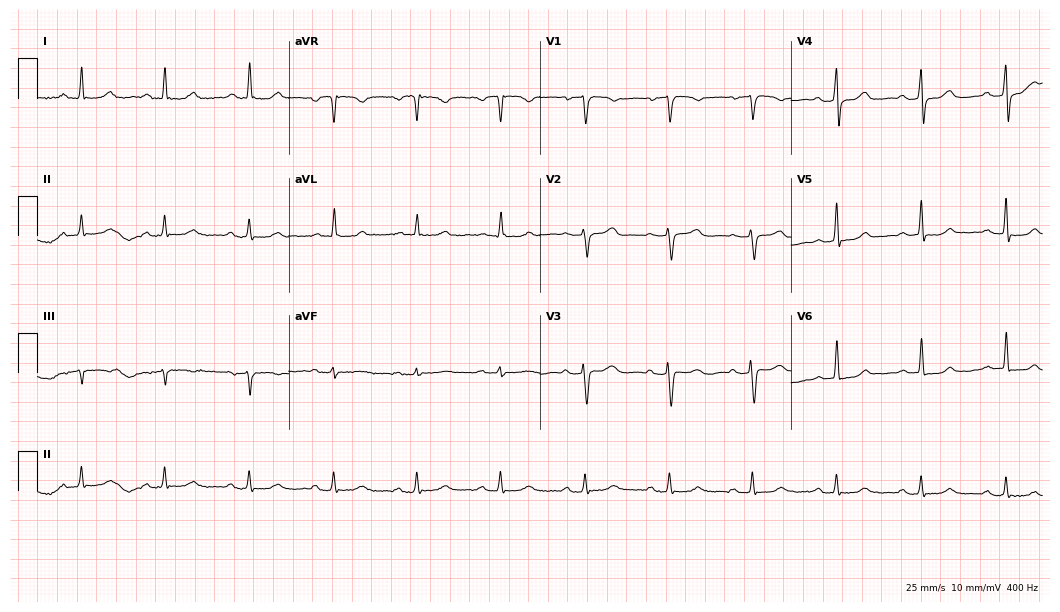
12-lead ECG from a woman, 62 years old (10.2-second recording at 400 Hz). Recorded interpretation: within normal limits.